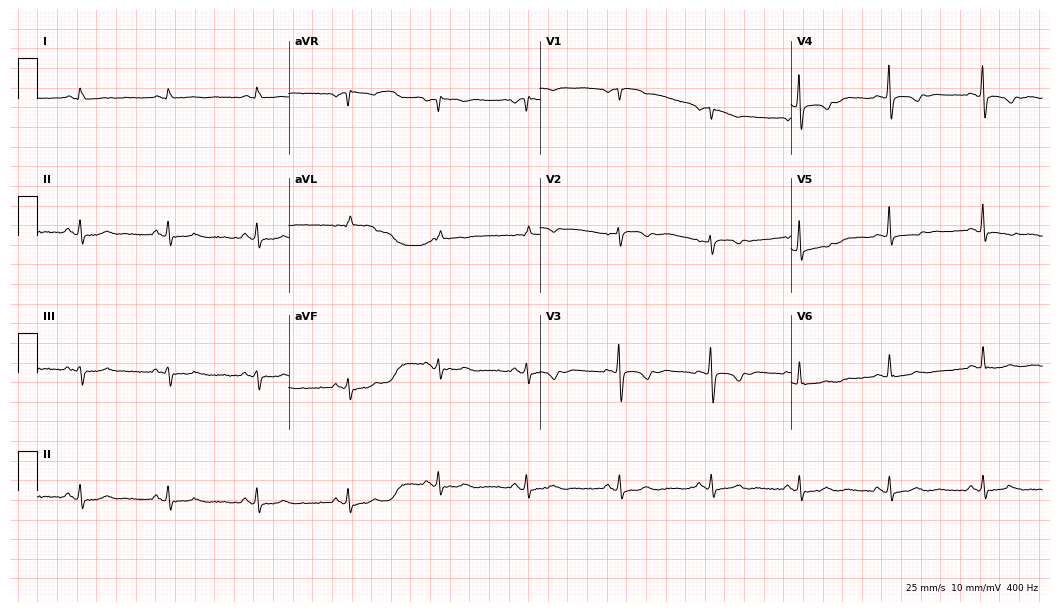
Resting 12-lead electrocardiogram (10.2-second recording at 400 Hz). Patient: a 68-year-old female. None of these six findings is recorded: first-degree AV block, right bundle branch block, left bundle branch block, sinus bradycardia, atrial fibrillation, sinus tachycardia. Only these six findings were labelled.